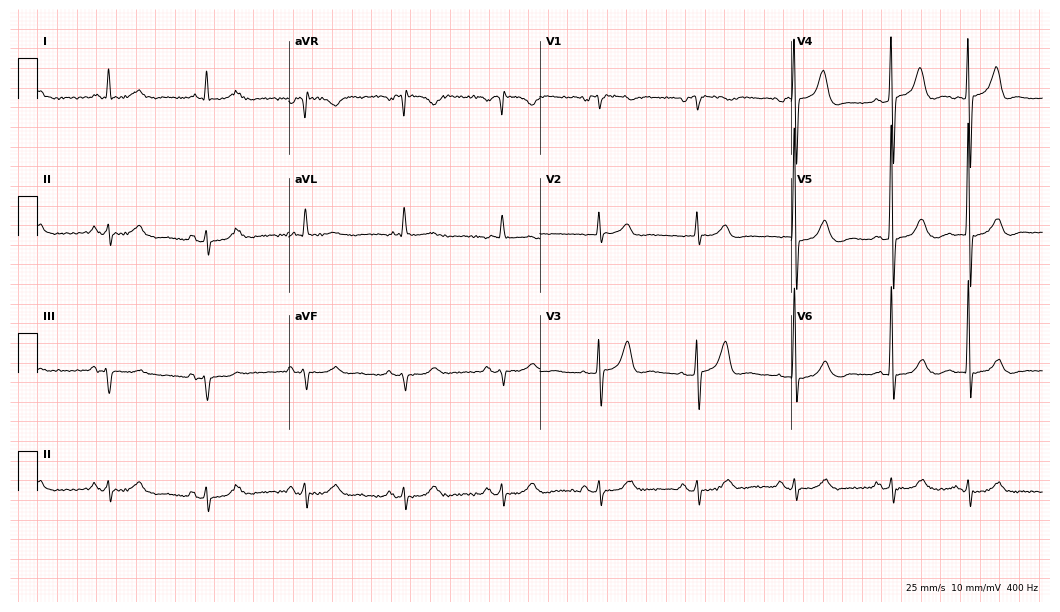
Electrocardiogram (10.2-second recording at 400 Hz), an 85-year-old male patient. Of the six screened findings (first-degree AV block, right bundle branch block, left bundle branch block, sinus bradycardia, atrial fibrillation, sinus tachycardia), none is recorded.